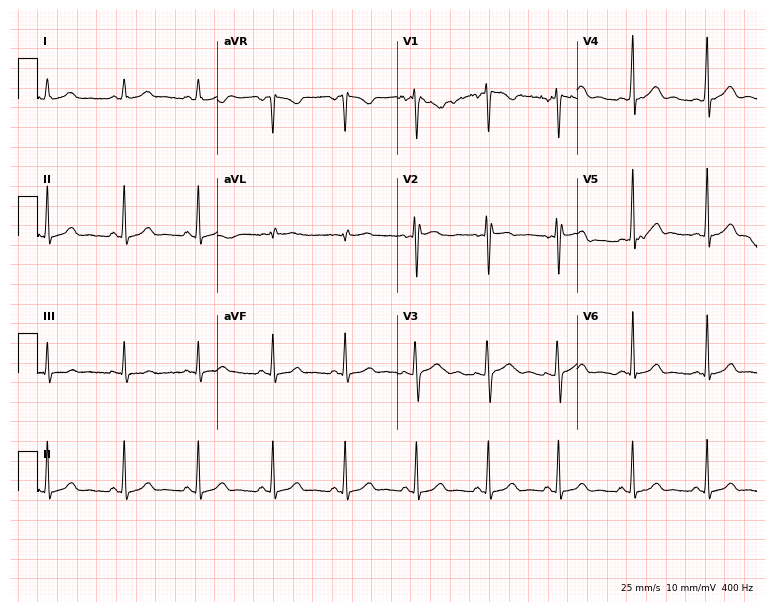
Standard 12-lead ECG recorded from a 21-year-old woman (7.3-second recording at 400 Hz). Read as a normal ECG.